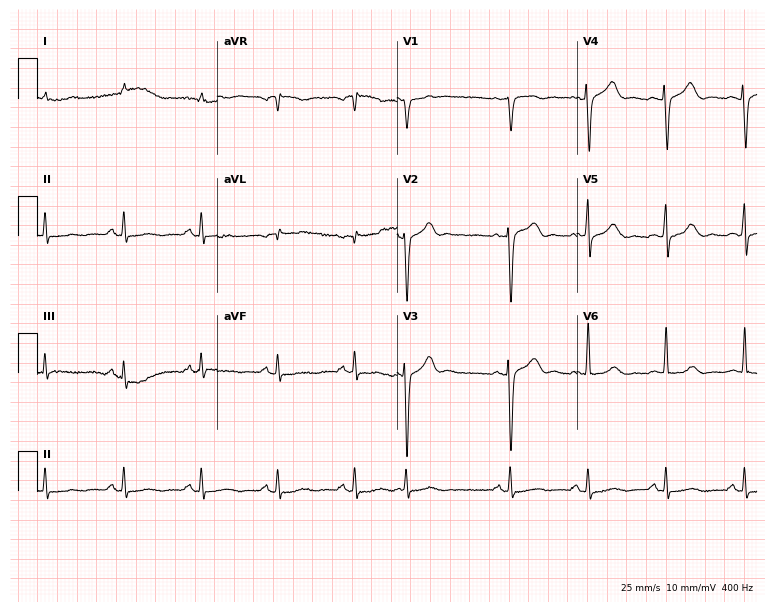
ECG (7.3-second recording at 400 Hz) — a male, 83 years old. Screened for six findings — first-degree AV block, right bundle branch block (RBBB), left bundle branch block (LBBB), sinus bradycardia, atrial fibrillation (AF), sinus tachycardia — none is recorded. Other findings, if any, are not listed.